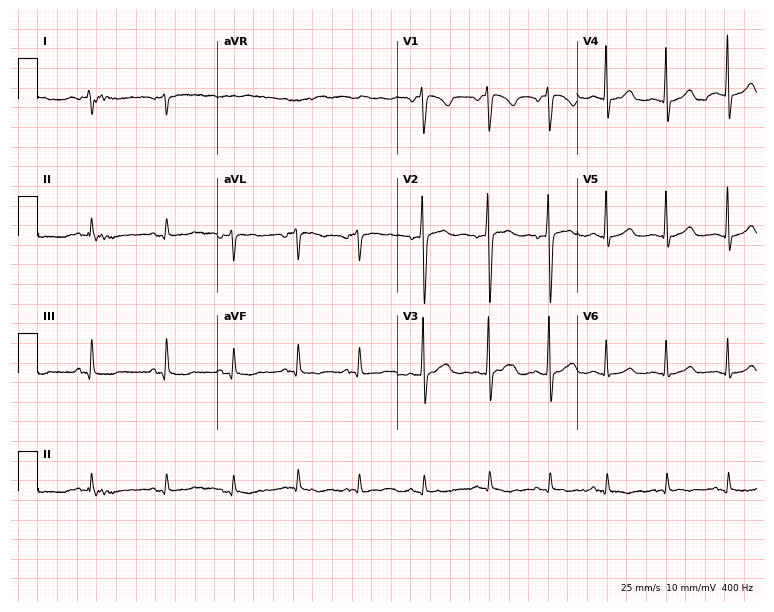
ECG — a 30-year-old female. Screened for six findings — first-degree AV block, right bundle branch block (RBBB), left bundle branch block (LBBB), sinus bradycardia, atrial fibrillation (AF), sinus tachycardia — none is recorded.